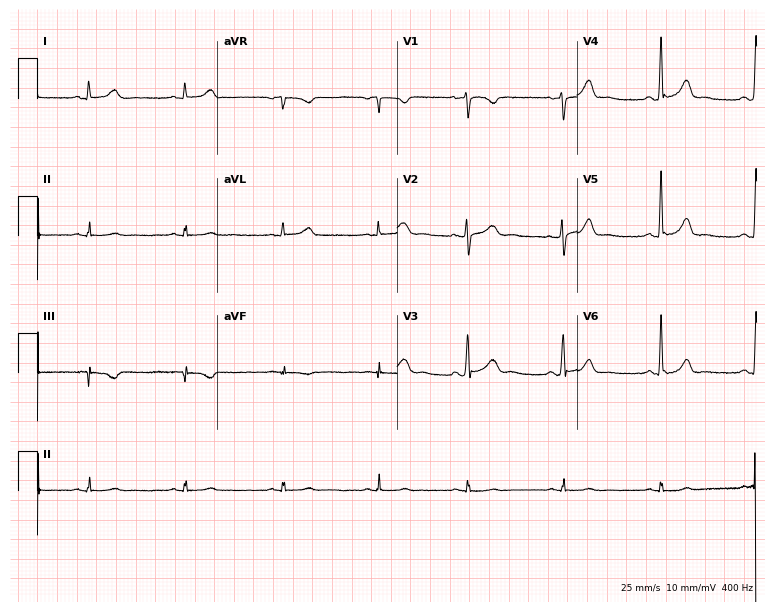
Electrocardiogram, a 43-year-old female. Of the six screened findings (first-degree AV block, right bundle branch block, left bundle branch block, sinus bradycardia, atrial fibrillation, sinus tachycardia), none is recorded. Findings outside these six are not listed.